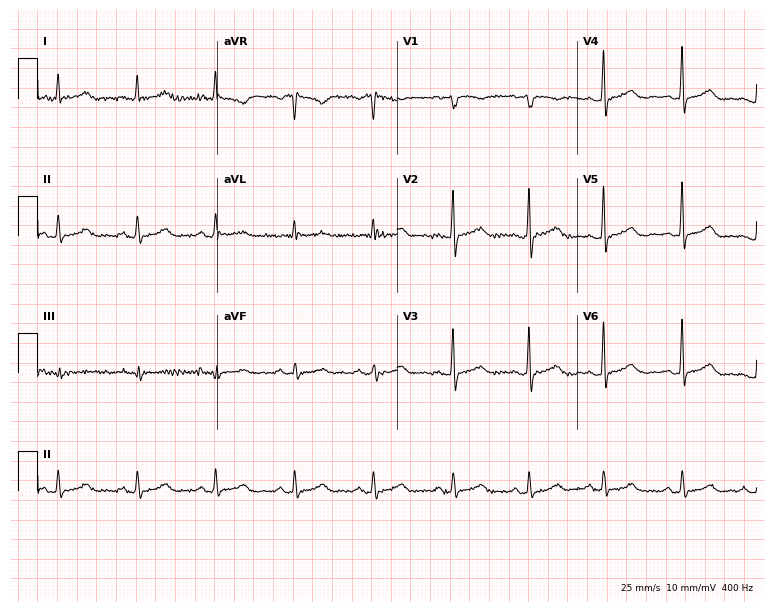
12-lead ECG (7.3-second recording at 400 Hz) from a 61-year-old woman. Labelled as a normal ECG.